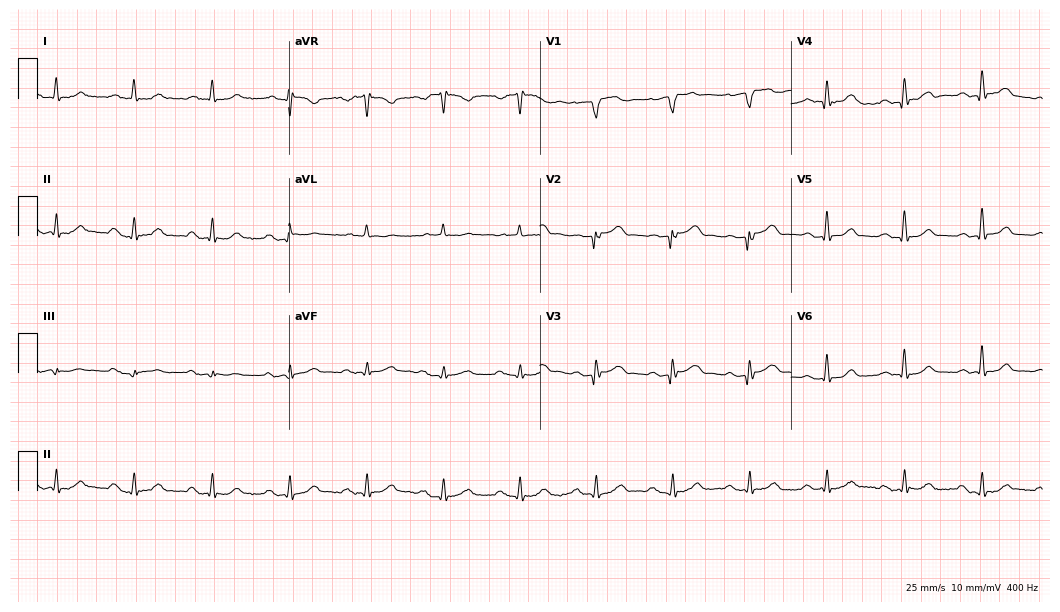
12-lead ECG from a man, 72 years old (10.2-second recording at 400 Hz). No first-degree AV block, right bundle branch block (RBBB), left bundle branch block (LBBB), sinus bradycardia, atrial fibrillation (AF) or sinus tachycardia recorded for this tracing.